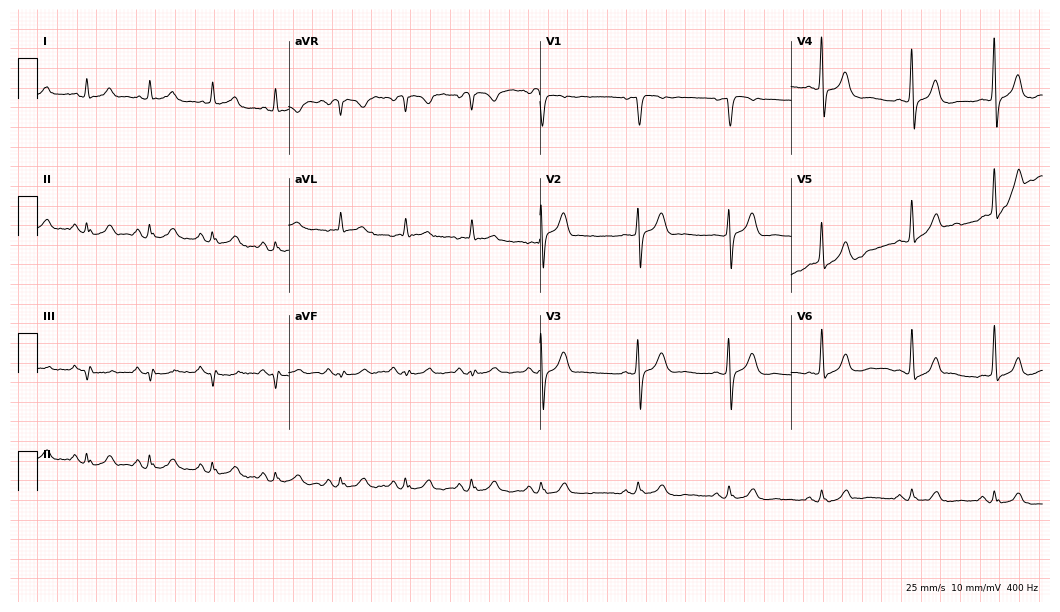
12-lead ECG from a 67-year-old male. Screened for six findings — first-degree AV block, right bundle branch block, left bundle branch block, sinus bradycardia, atrial fibrillation, sinus tachycardia — none is recorded. Findings outside these six are not listed.